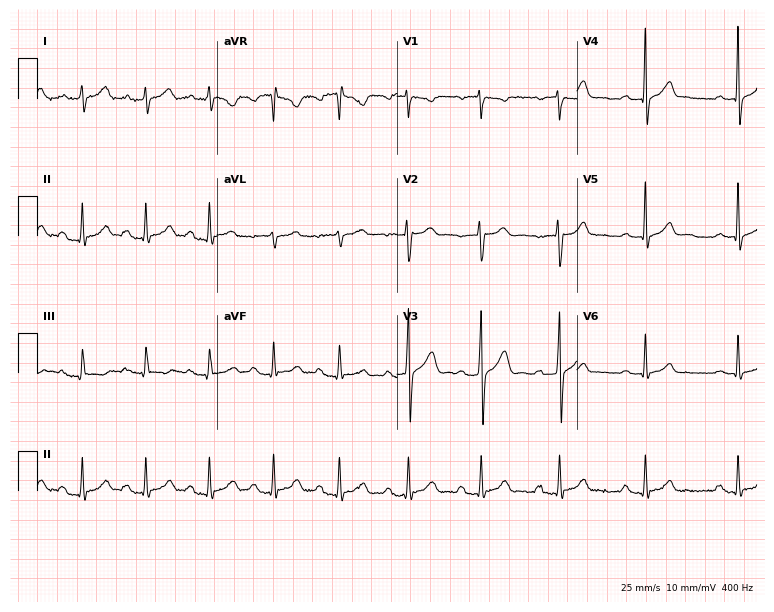
12-lead ECG (7.3-second recording at 400 Hz) from a 35-year-old male. Findings include first-degree AV block.